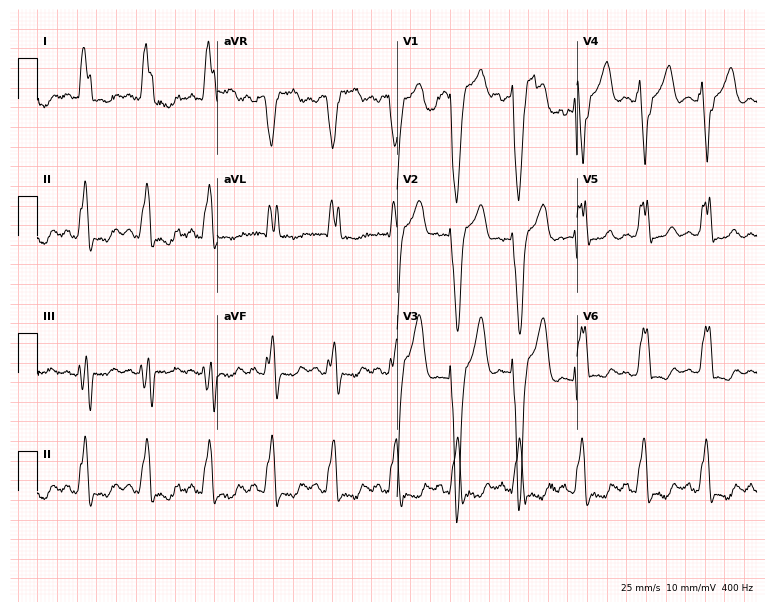
Standard 12-lead ECG recorded from a 53-year-old female. The tracing shows left bundle branch block.